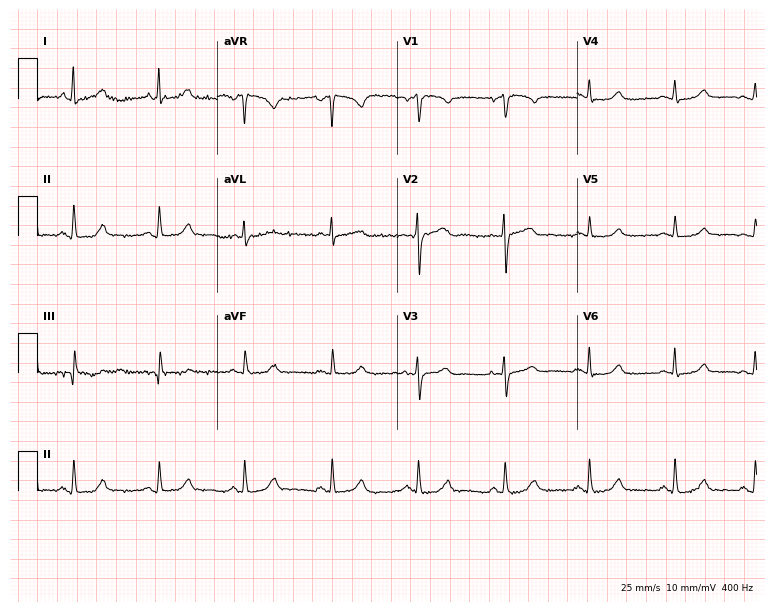
12-lead ECG (7.3-second recording at 400 Hz) from a 64-year-old female patient. Labelled as a normal ECG.